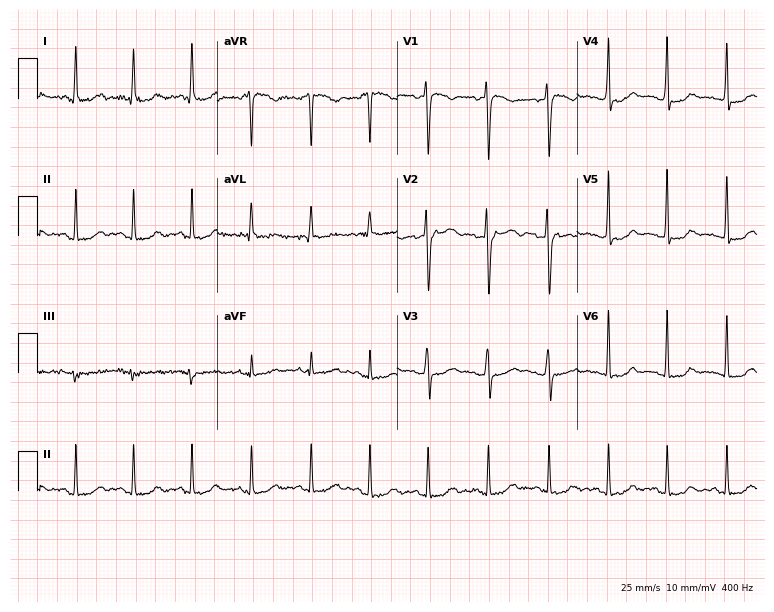
ECG (7.3-second recording at 400 Hz) — a 43-year-old woman. Screened for six findings — first-degree AV block, right bundle branch block (RBBB), left bundle branch block (LBBB), sinus bradycardia, atrial fibrillation (AF), sinus tachycardia — none is recorded. Findings outside these six are not listed.